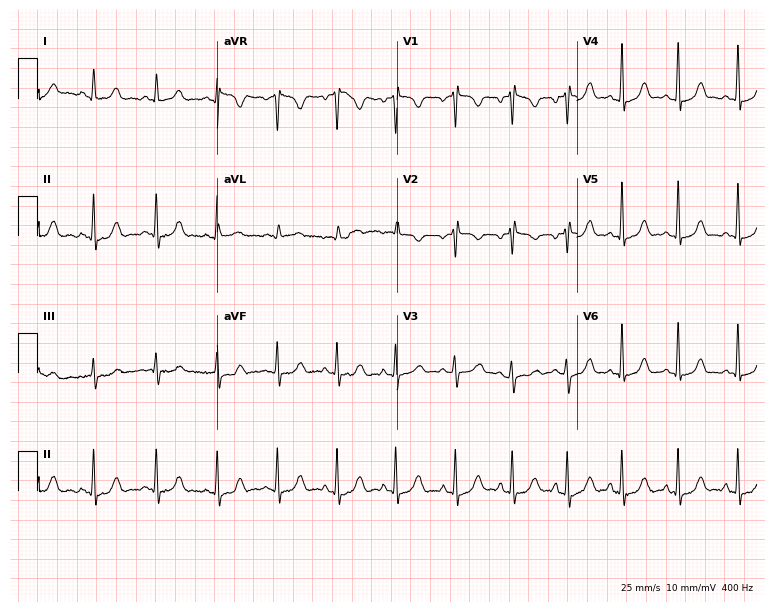
Resting 12-lead electrocardiogram. Patient: a 17-year-old female. Read as a normal ECG.